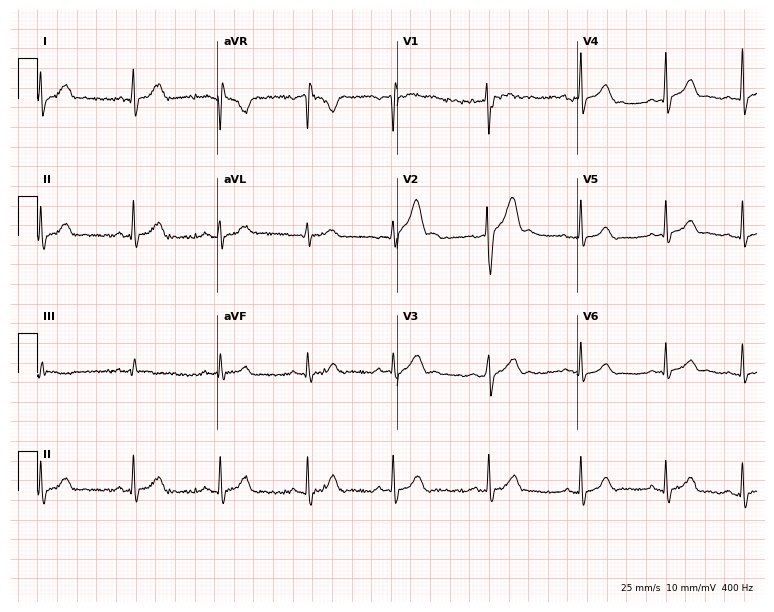
12-lead ECG from a 26-year-old male. Recorded interpretation: within normal limits.